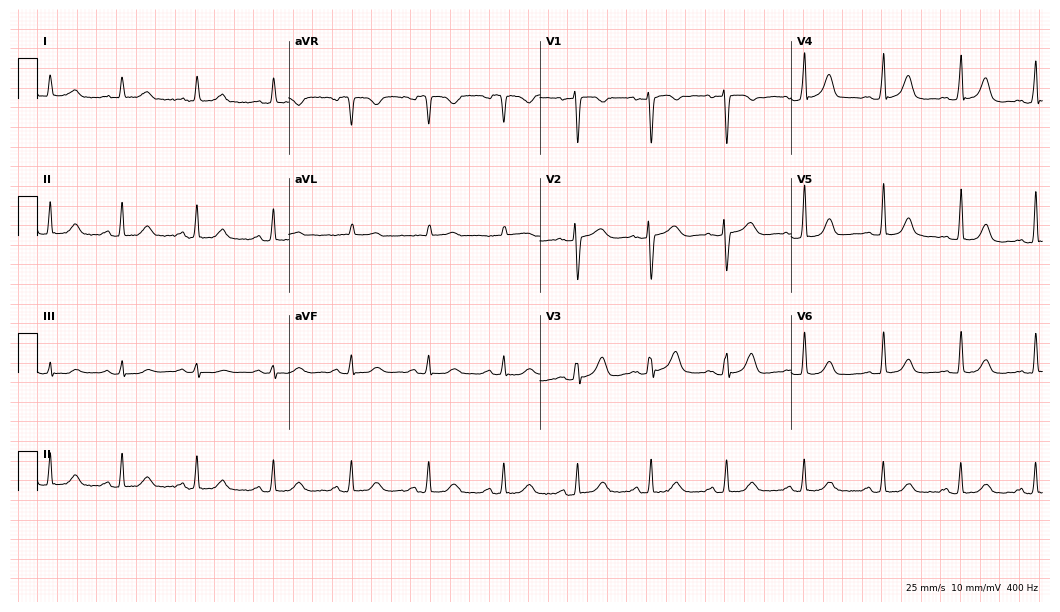
Electrocardiogram (10.2-second recording at 400 Hz), a 57-year-old male. Of the six screened findings (first-degree AV block, right bundle branch block, left bundle branch block, sinus bradycardia, atrial fibrillation, sinus tachycardia), none is recorded. Only these six findings were labelled.